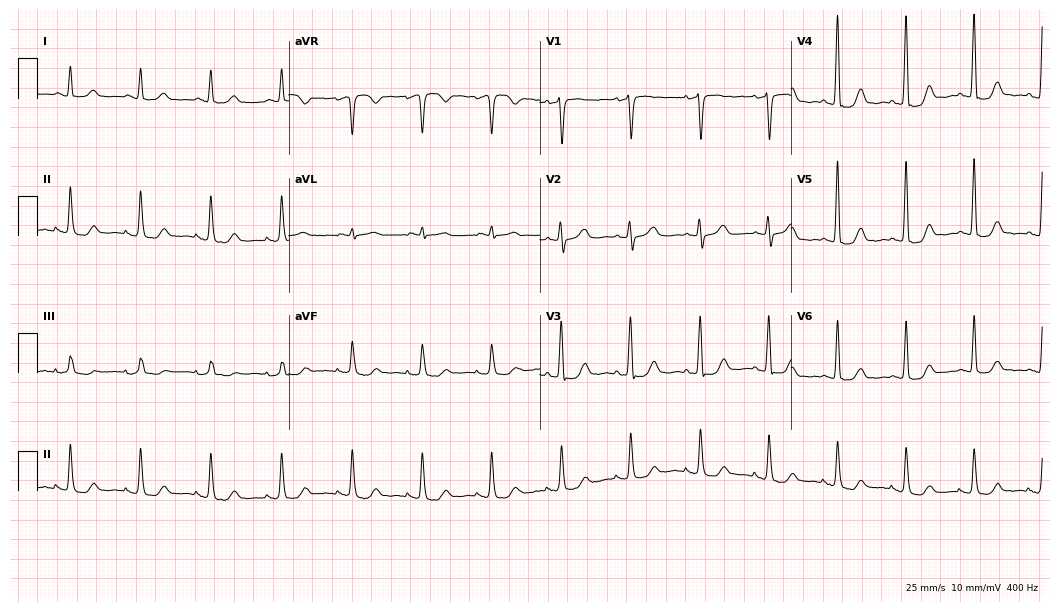
12-lead ECG from a female patient, 70 years old. Screened for six findings — first-degree AV block, right bundle branch block, left bundle branch block, sinus bradycardia, atrial fibrillation, sinus tachycardia — none is recorded.